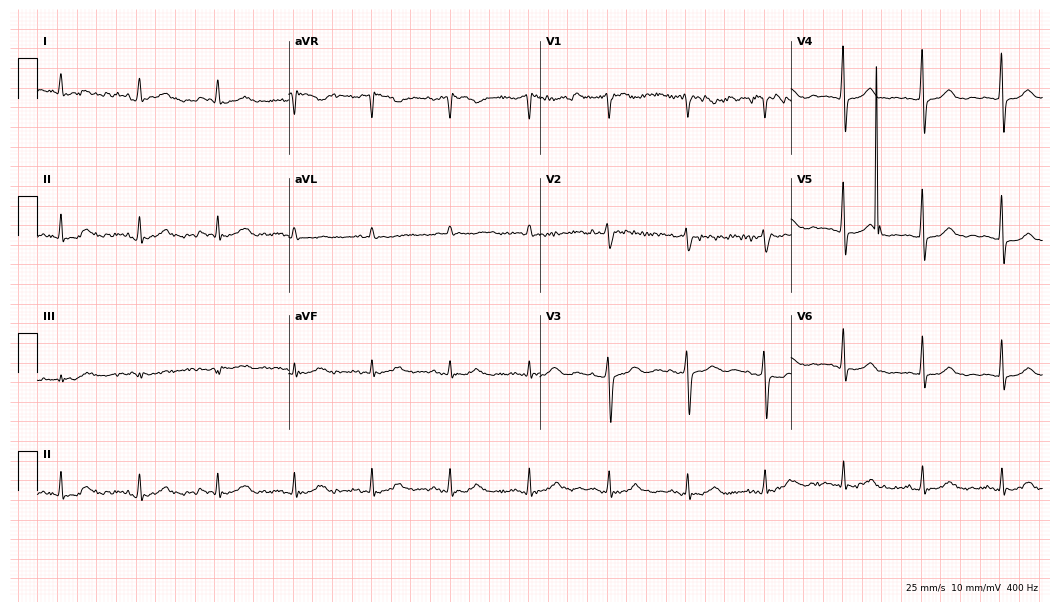
Resting 12-lead electrocardiogram. Patient: a 39-year-old male. None of these six findings is recorded: first-degree AV block, right bundle branch block (RBBB), left bundle branch block (LBBB), sinus bradycardia, atrial fibrillation (AF), sinus tachycardia. Other findings, if any, are not listed.